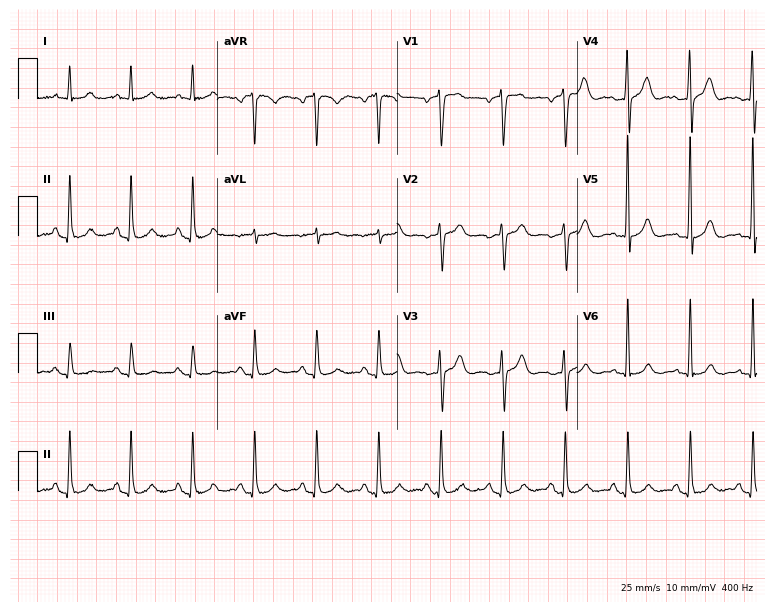
12-lead ECG (7.3-second recording at 400 Hz) from an 82-year-old male. Screened for six findings — first-degree AV block, right bundle branch block (RBBB), left bundle branch block (LBBB), sinus bradycardia, atrial fibrillation (AF), sinus tachycardia — none is recorded. Other findings, if any, are not listed.